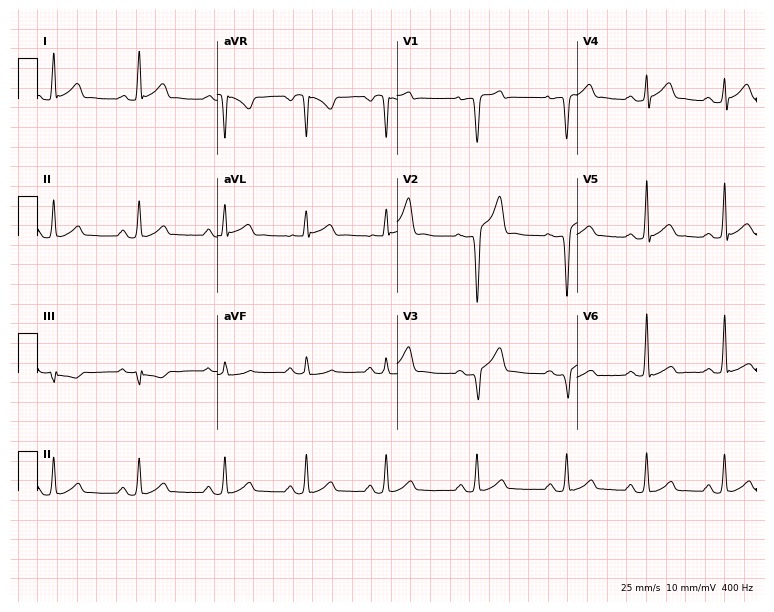
12-lead ECG (7.3-second recording at 400 Hz) from a male, 30 years old. Screened for six findings — first-degree AV block, right bundle branch block, left bundle branch block, sinus bradycardia, atrial fibrillation, sinus tachycardia — none is recorded.